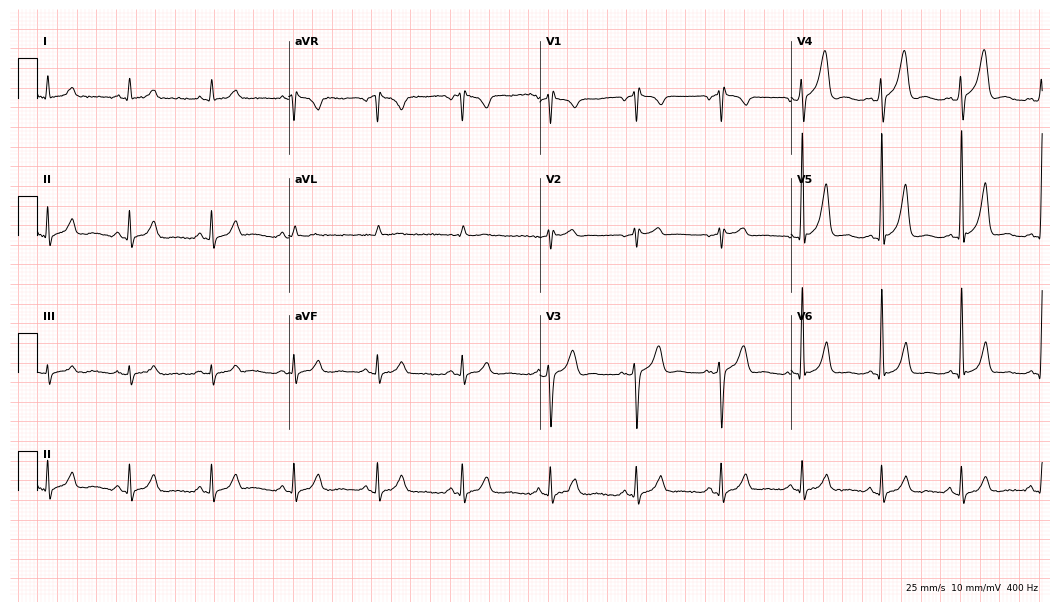
Standard 12-lead ECG recorded from a 50-year-old man (10.2-second recording at 400 Hz). Read as a normal ECG.